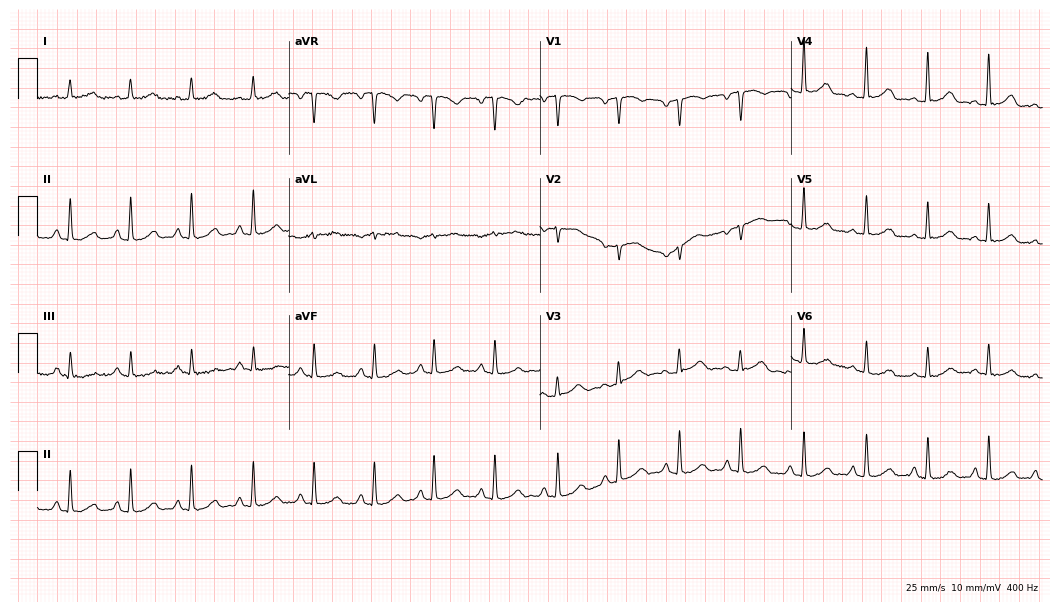
Standard 12-lead ECG recorded from a 36-year-old female patient. Read as a normal ECG.